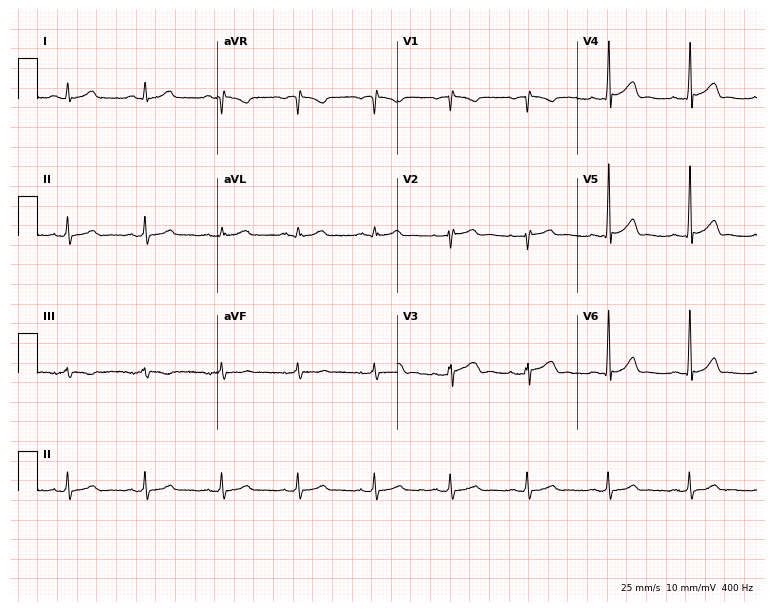
ECG — a male, 46 years old. Screened for six findings — first-degree AV block, right bundle branch block, left bundle branch block, sinus bradycardia, atrial fibrillation, sinus tachycardia — none is recorded. Findings outside these six are not listed.